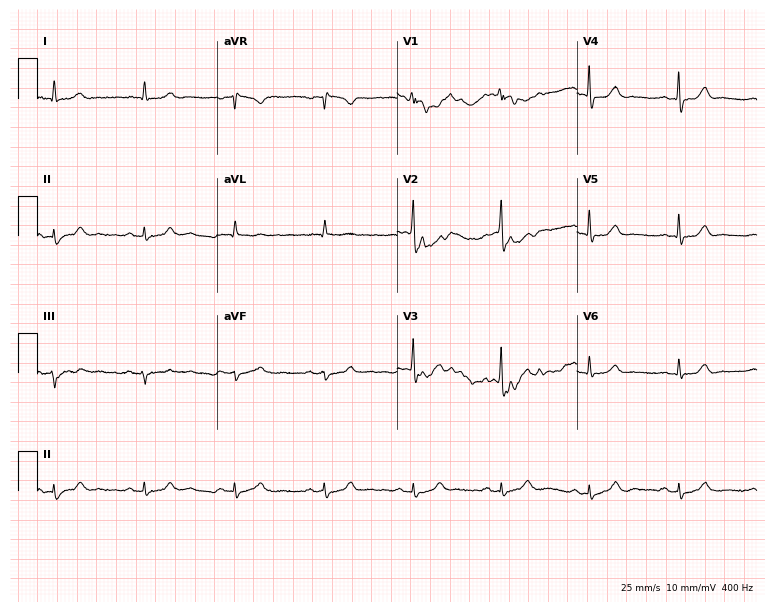
12-lead ECG from a 75-year-old man. Recorded interpretation: within normal limits.